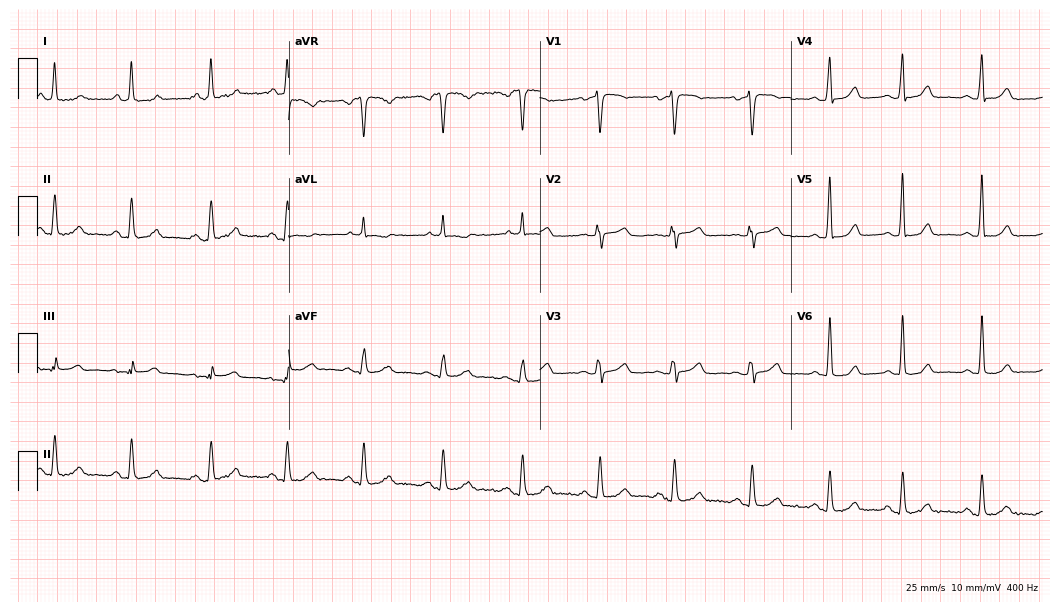
Resting 12-lead electrocardiogram (10.2-second recording at 400 Hz). Patient: a 59-year-old woman. Read as a normal ECG.